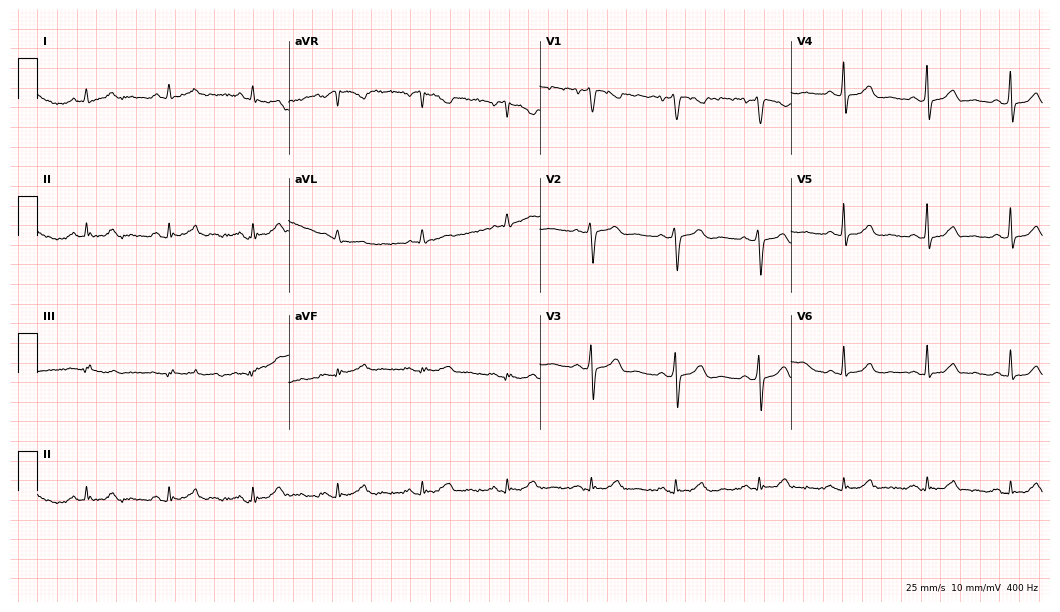
12-lead ECG from a 63-year-old female patient (10.2-second recording at 400 Hz). No first-degree AV block, right bundle branch block (RBBB), left bundle branch block (LBBB), sinus bradycardia, atrial fibrillation (AF) or sinus tachycardia recorded for this tracing.